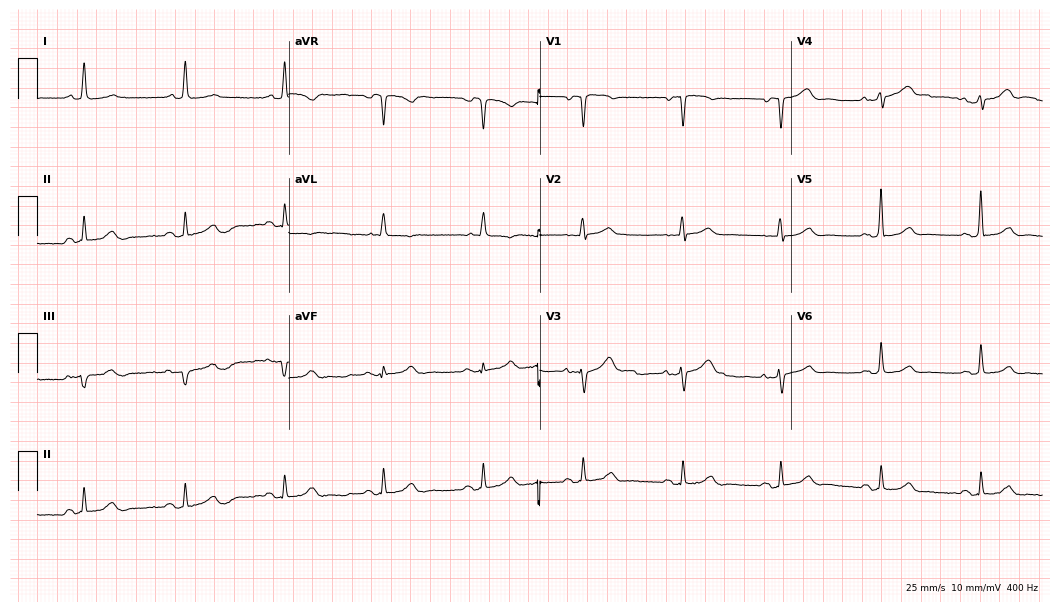
12-lead ECG from an 80-year-old female. Labelled as a normal ECG.